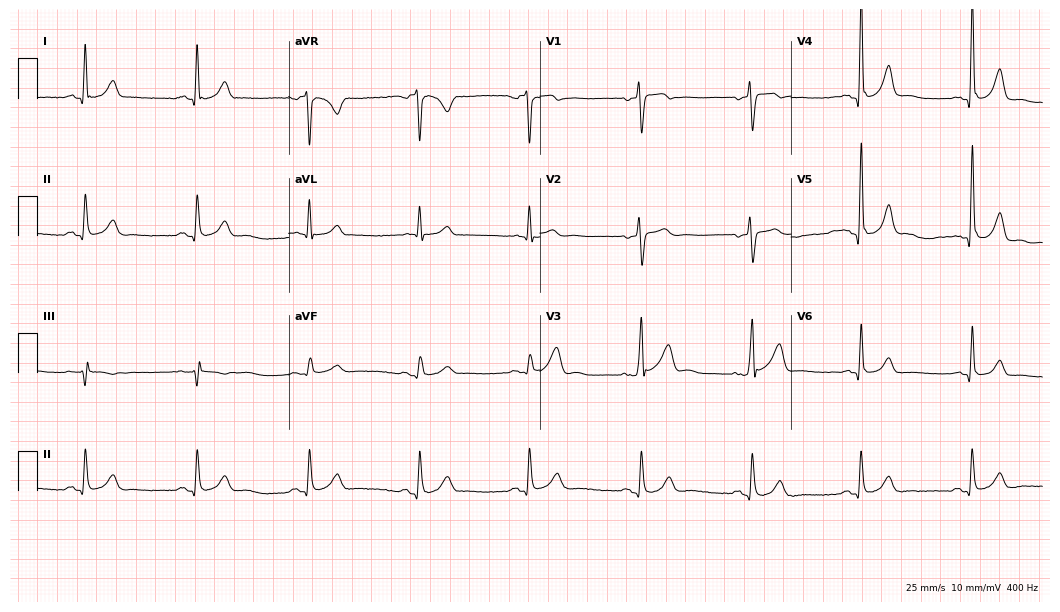
Electrocardiogram (10.2-second recording at 400 Hz), a 54-year-old man. Of the six screened findings (first-degree AV block, right bundle branch block, left bundle branch block, sinus bradycardia, atrial fibrillation, sinus tachycardia), none is recorded. Other findings, if any, are not listed.